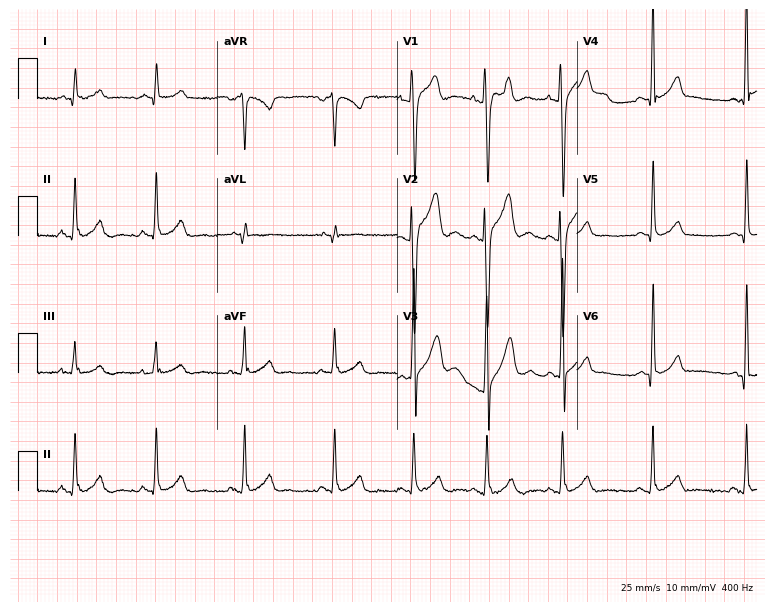
Electrocardiogram (7.3-second recording at 400 Hz), a male patient, 23 years old. Overall reading on record: normal ECG.